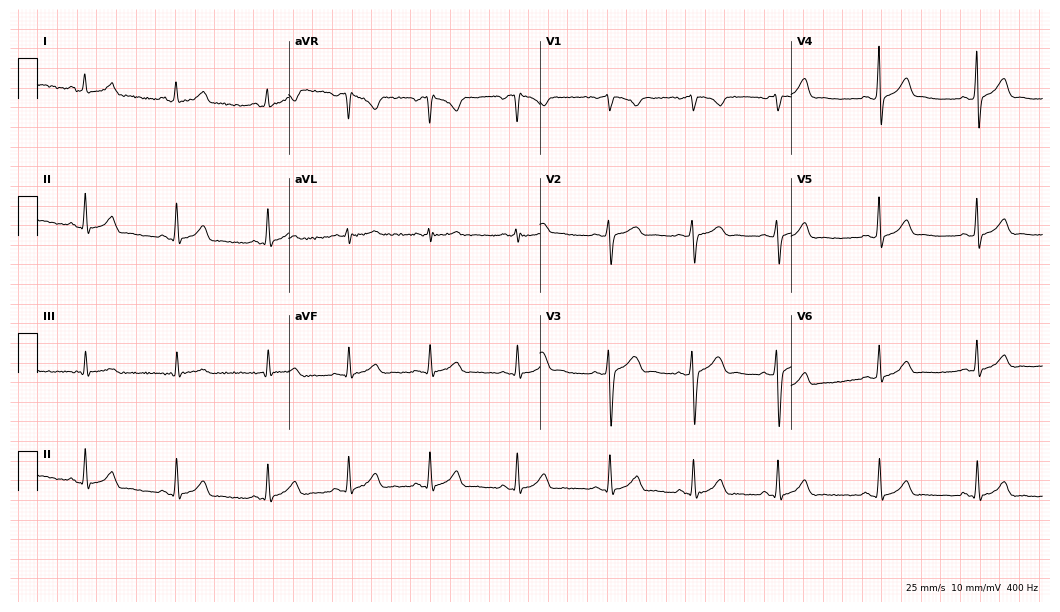
Standard 12-lead ECG recorded from a 23-year-old woman. Read as a normal ECG.